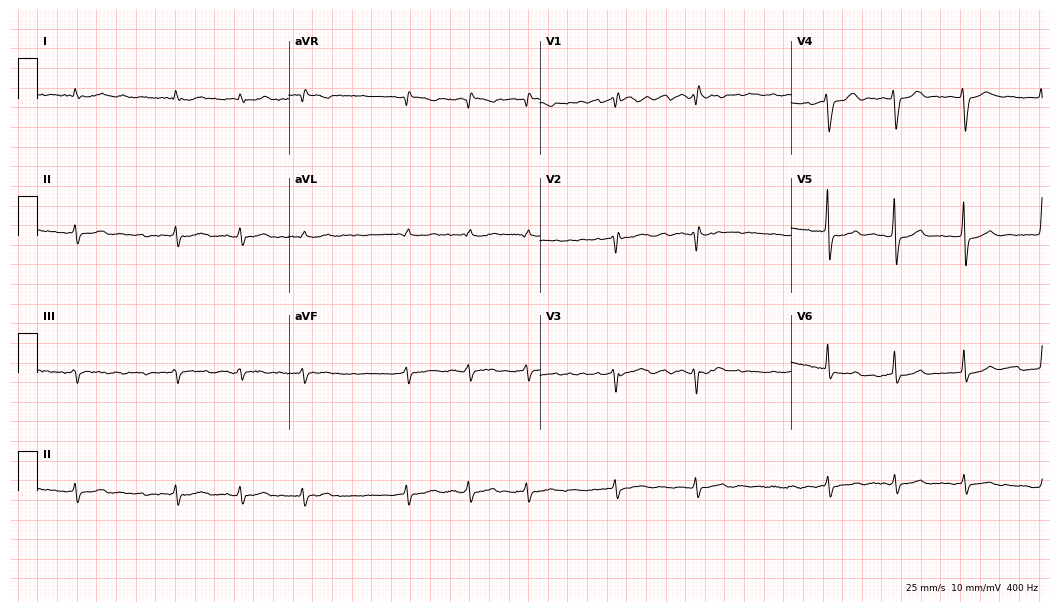
12-lead ECG from a 79-year-old female patient (10.2-second recording at 400 Hz). Shows atrial fibrillation.